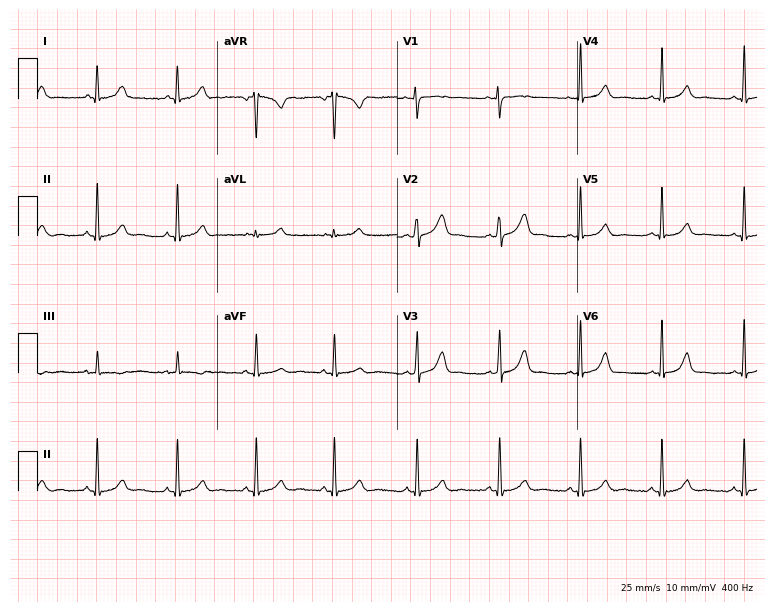
Resting 12-lead electrocardiogram. Patient: a 34-year-old woman. None of these six findings is recorded: first-degree AV block, right bundle branch block, left bundle branch block, sinus bradycardia, atrial fibrillation, sinus tachycardia. Only these six findings were labelled.